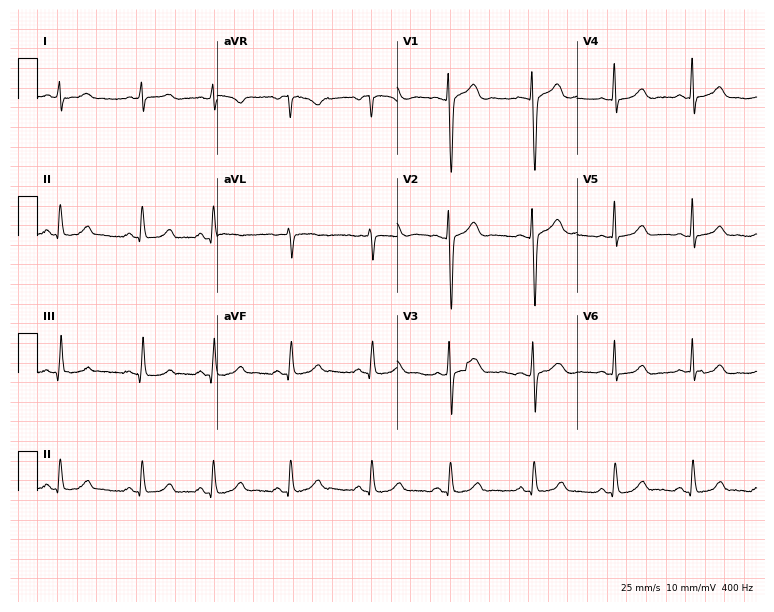
12-lead ECG (7.3-second recording at 400 Hz) from a 28-year-old woman. Labelled as a normal ECG.